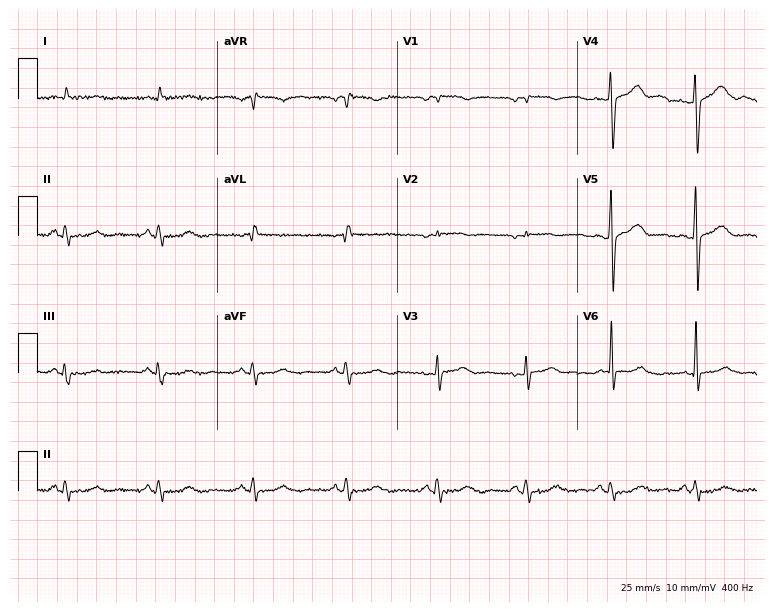
Electrocardiogram (7.3-second recording at 400 Hz), a male patient, 71 years old. Of the six screened findings (first-degree AV block, right bundle branch block (RBBB), left bundle branch block (LBBB), sinus bradycardia, atrial fibrillation (AF), sinus tachycardia), none is recorded.